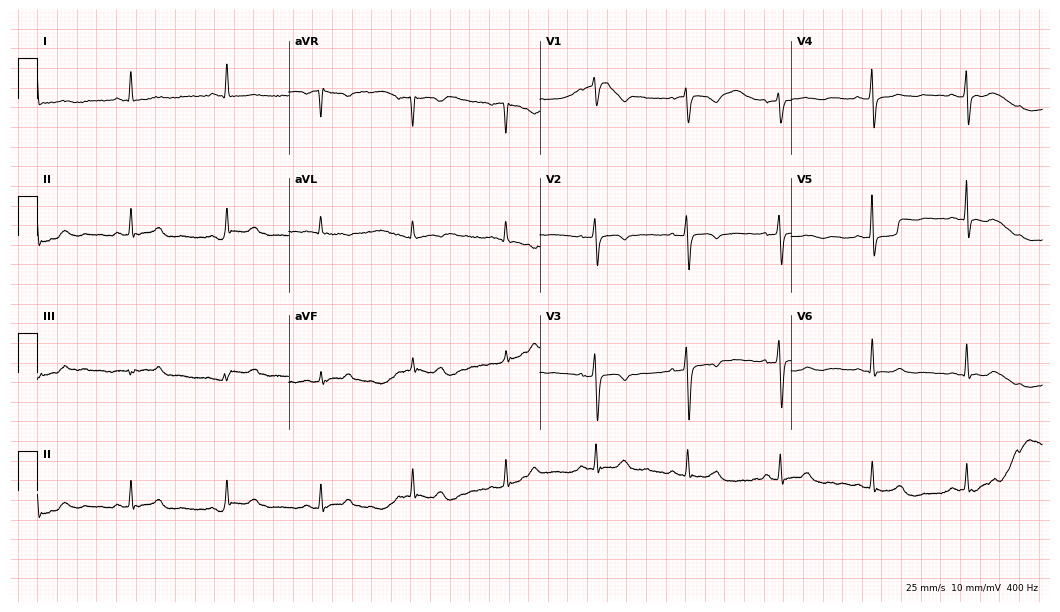
Standard 12-lead ECG recorded from a female patient, 62 years old (10.2-second recording at 400 Hz). None of these six findings is recorded: first-degree AV block, right bundle branch block, left bundle branch block, sinus bradycardia, atrial fibrillation, sinus tachycardia. Findings outside these six are not listed.